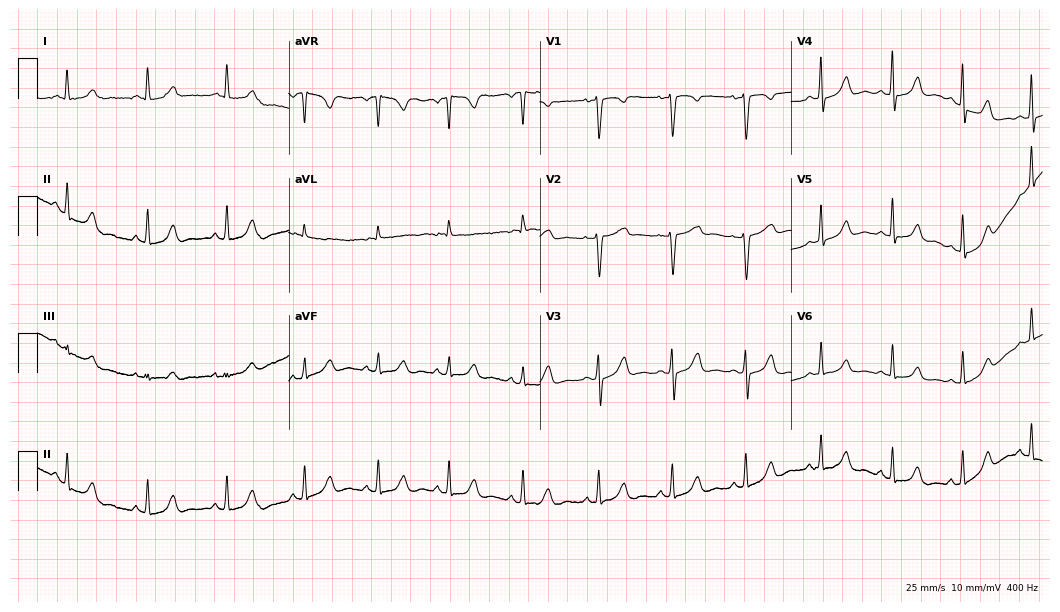
Resting 12-lead electrocardiogram. Patient: a female, 54 years old. Read as a normal ECG.